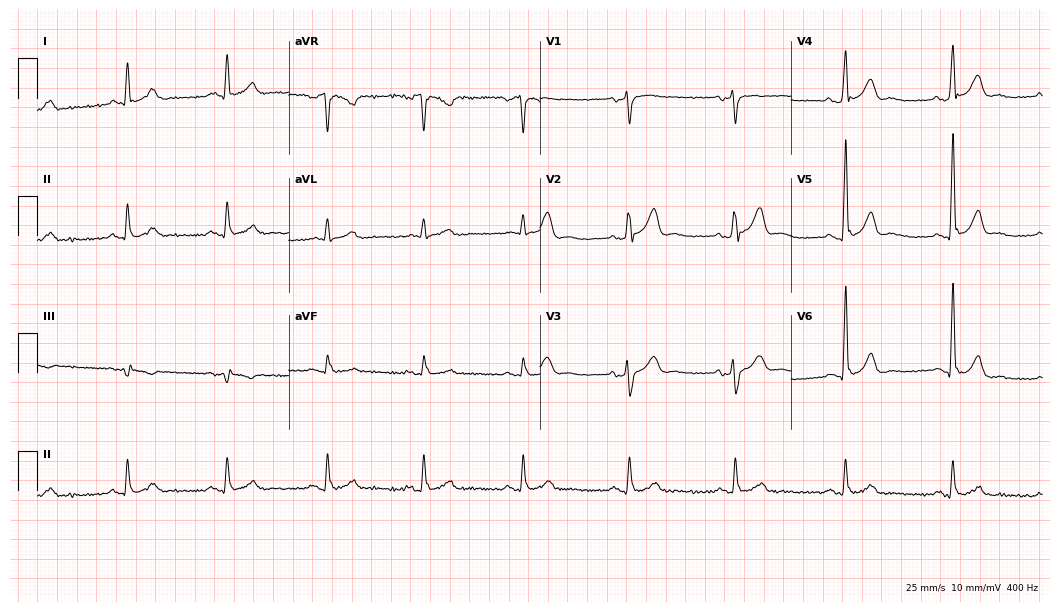
Resting 12-lead electrocardiogram. Patient: a 60-year-old man. None of these six findings is recorded: first-degree AV block, right bundle branch block, left bundle branch block, sinus bradycardia, atrial fibrillation, sinus tachycardia.